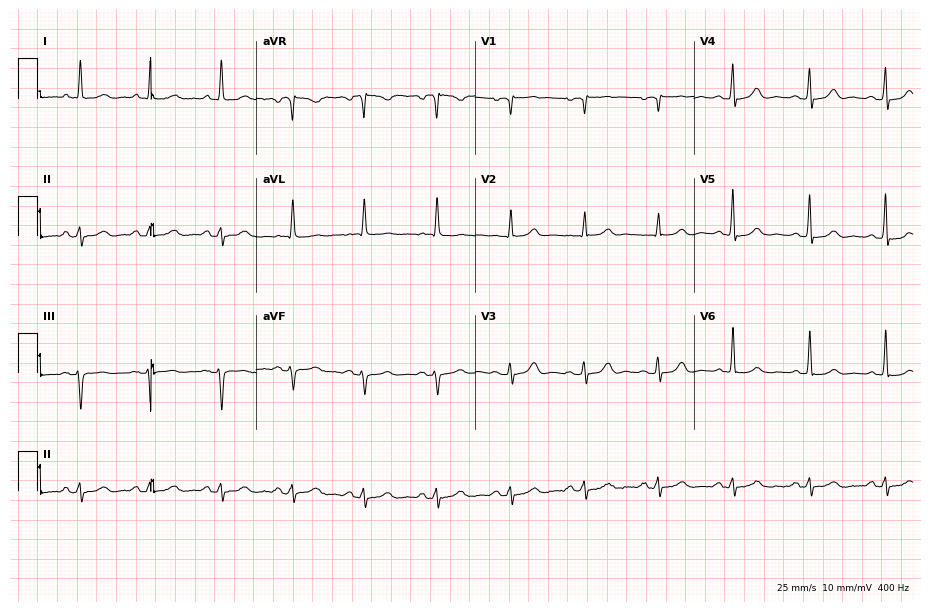
12-lead ECG (8.9-second recording at 400 Hz) from a man, 85 years old. Labelled as a normal ECG.